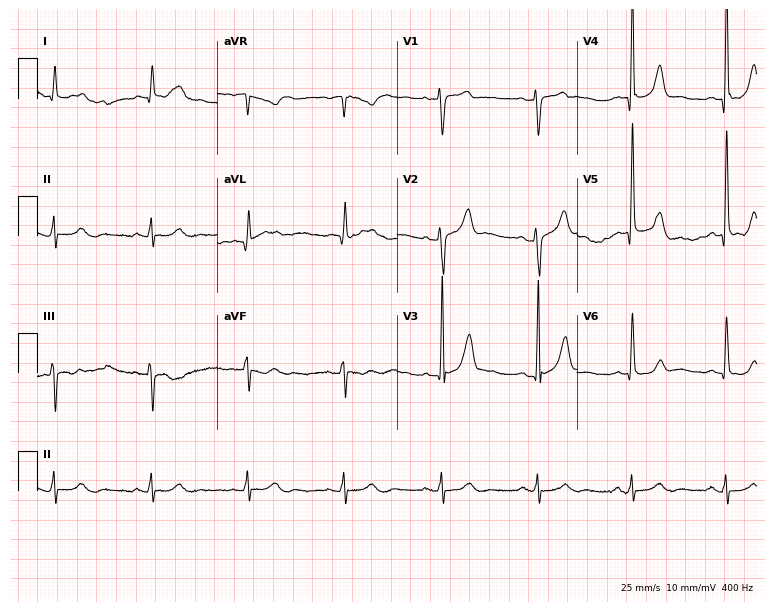
12-lead ECG from a 70-year-old female patient. No first-degree AV block, right bundle branch block (RBBB), left bundle branch block (LBBB), sinus bradycardia, atrial fibrillation (AF) or sinus tachycardia recorded for this tracing.